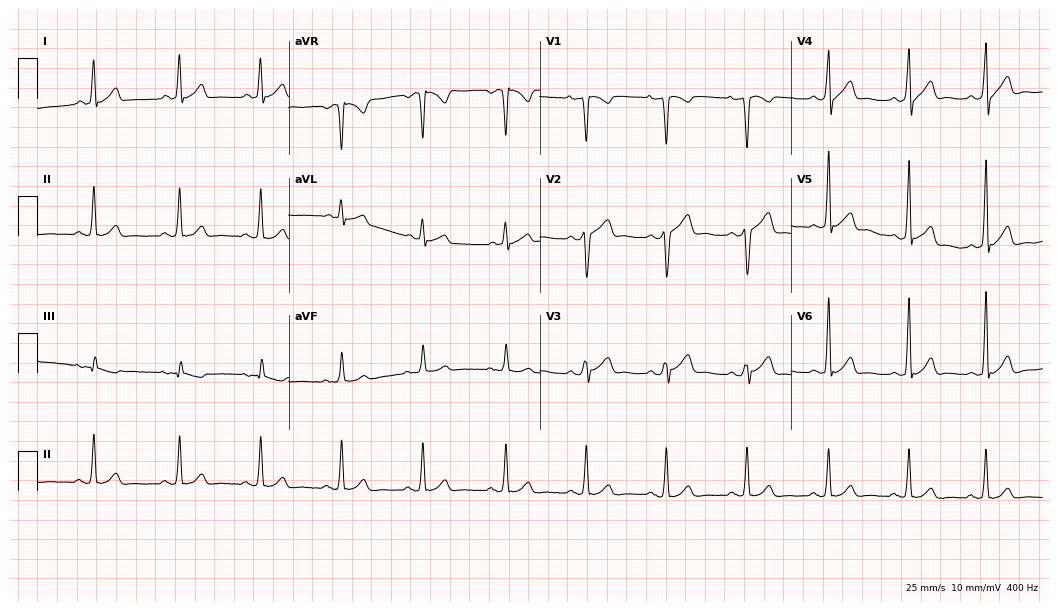
ECG (10.2-second recording at 400 Hz) — a 29-year-old female. Labelled as a normal ECG.